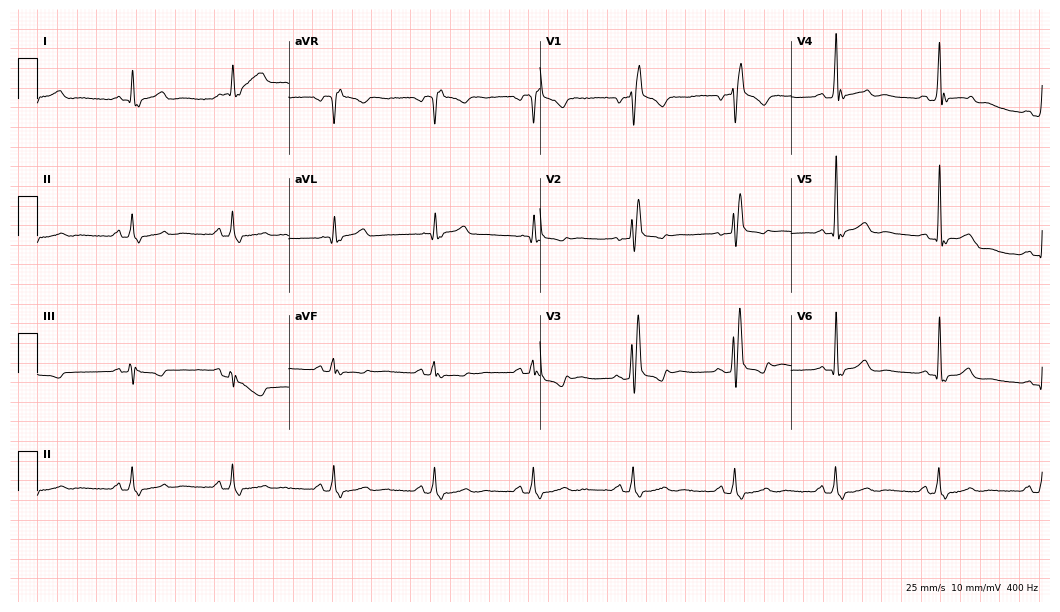
ECG (10.2-second recording at 400 Hz) — a man, 50 years old. Findings include right bundle branch block (RBBB).